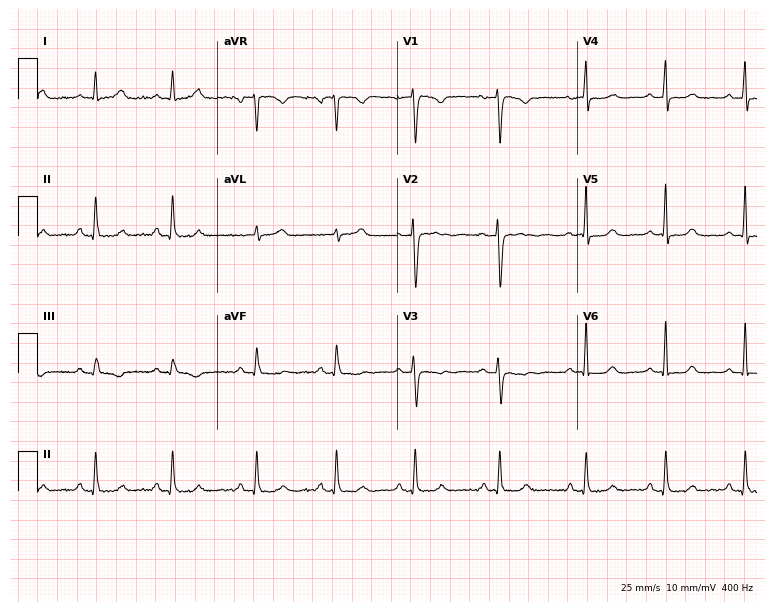
12-lead ECG (7.3-second recording at 400 Hz) from a 42-year-old female. Screened for six findings — first-degree AV block, right bundle branch block, left bundle branch block, sinus bradycardia, atrial fibrillation, sinus tachycardia — none is recorded. Only these six findings were labelled.